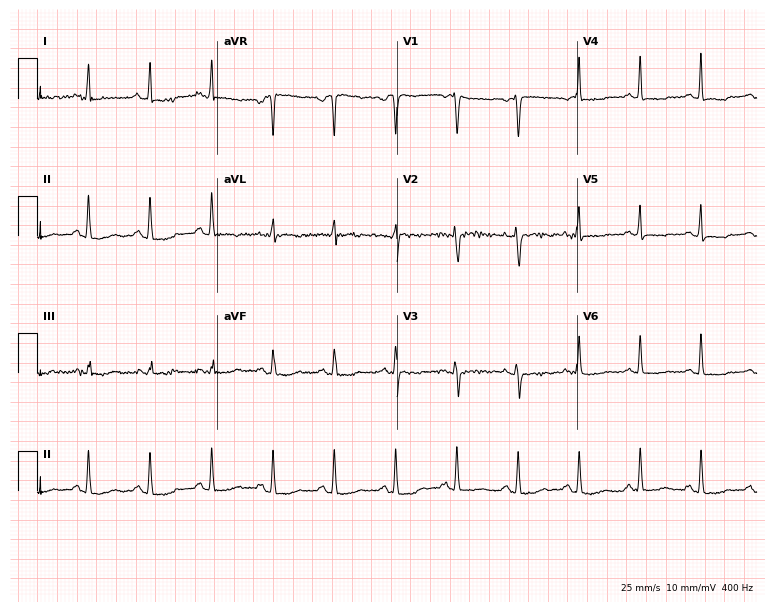
12-lead ECG from a 46-year-old woman. No first-degree AV block, right bundle branch block, left bundle branch block, sinus bradycardia, atrial fibrillation or sinus tachycardia recorded for this tracing. Only these six findings were labelled.